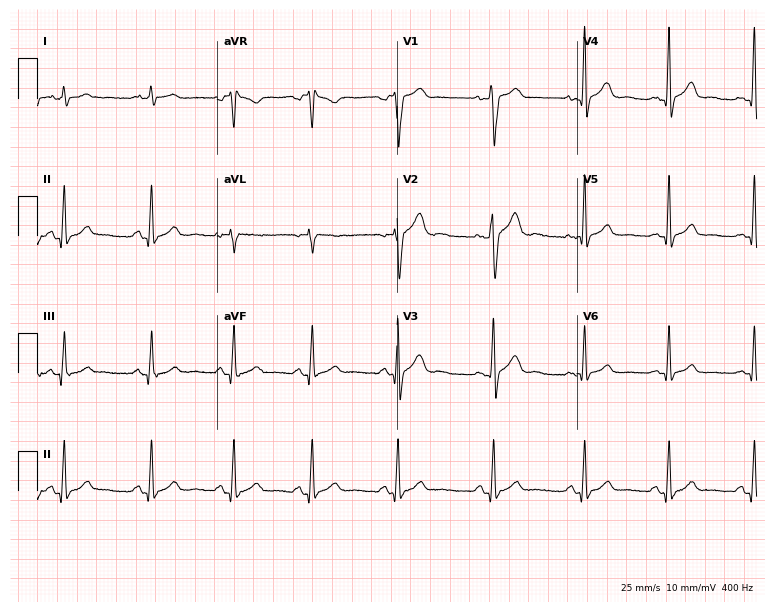
Standard 12-lead ECG recorded from a 19-year-old man (7.3-second recording at 400 Hz). None of these six findings is recorded: first-degree AV block, right bundle branch block, left bundle branch block, sinus bradycardia, atrial fibrillation, sinus tachycardia. Other findings, if any, are not listed.